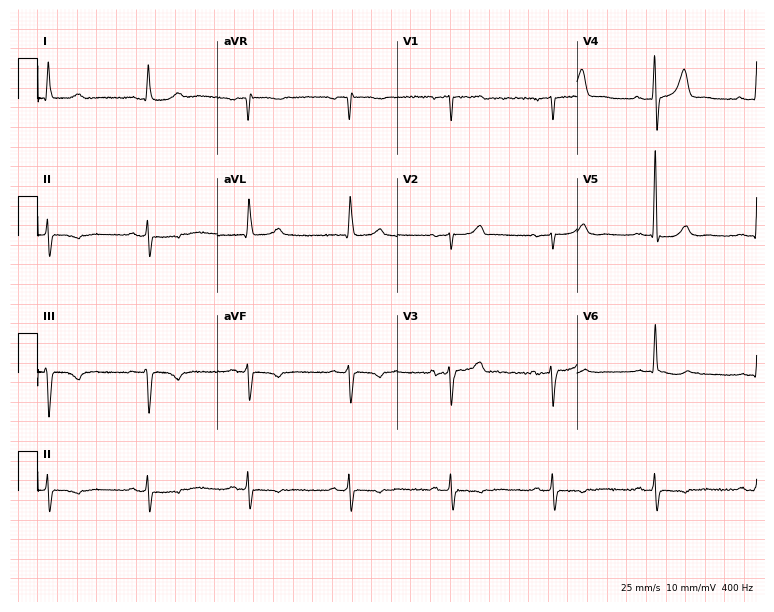
Resting 12-lead electrocardiogram. Patient: a female, 79 years old. None of these six findings is recorded: first-degree AV block, right bundle branch block (RBBB), left bundle branch block (LBBB), sinus bradycardia, atrial fibrillation (AF), sinus tachycardia. Findings outside these six are not listed.